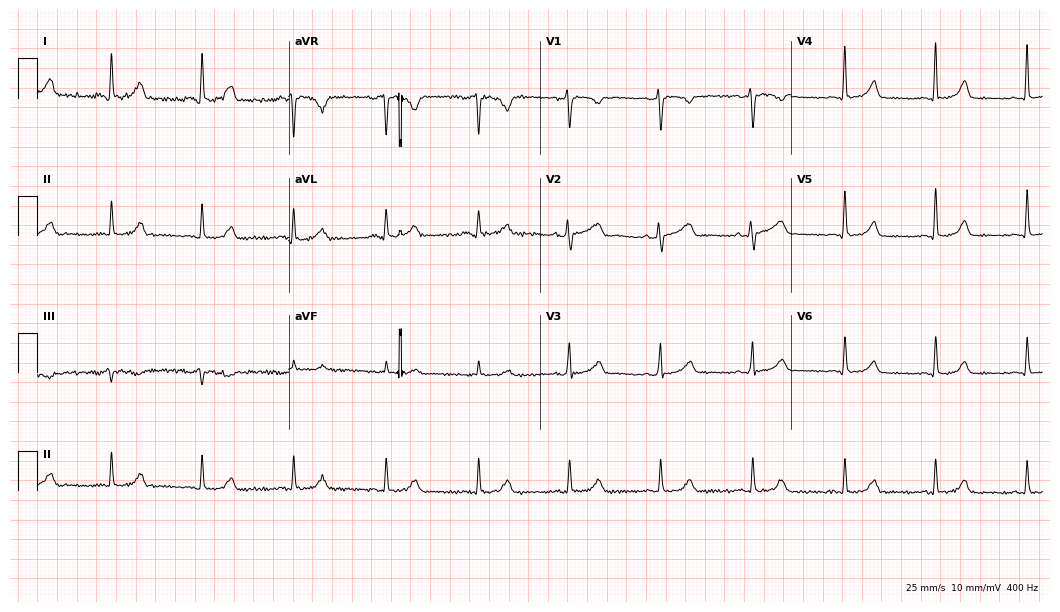
Standard 12-lead ECG recorded from a 45-year-old female (10.2-second recording at 400 Hz). Read as a normal ECG.